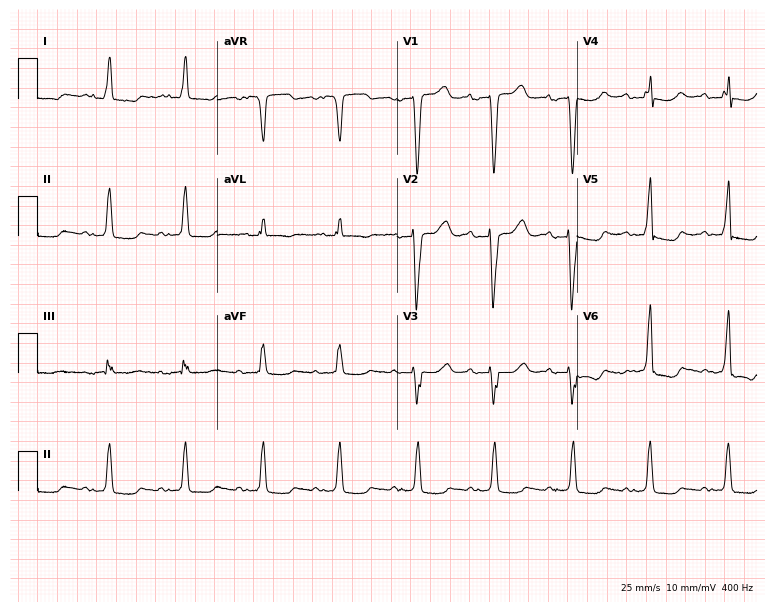
ECG — a 73-year-old woman. Findings include first-degree AV block.